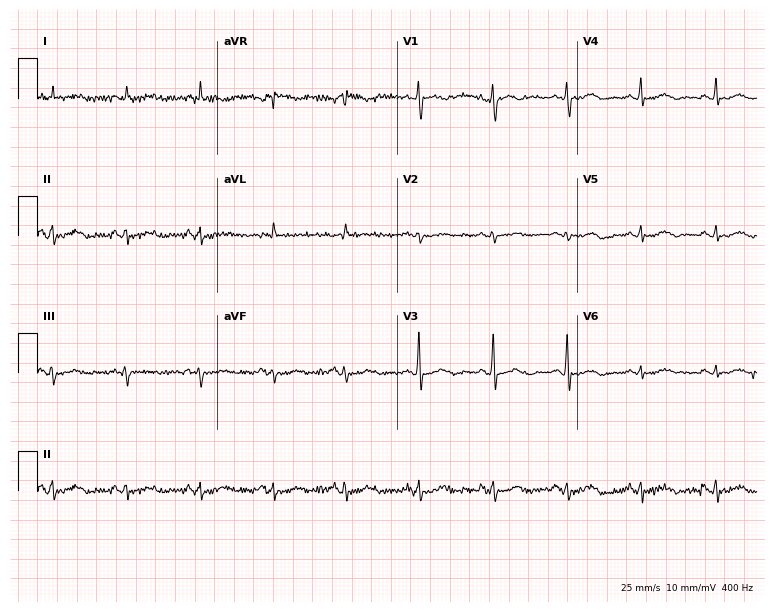
ECG — a female, 69 years old. Screened for six findings — first-degree AV block, right bundle branch block, left bundle branch block, sinus bradycardia, atrial fibrillation, sinus tachycardia — none is recorded.